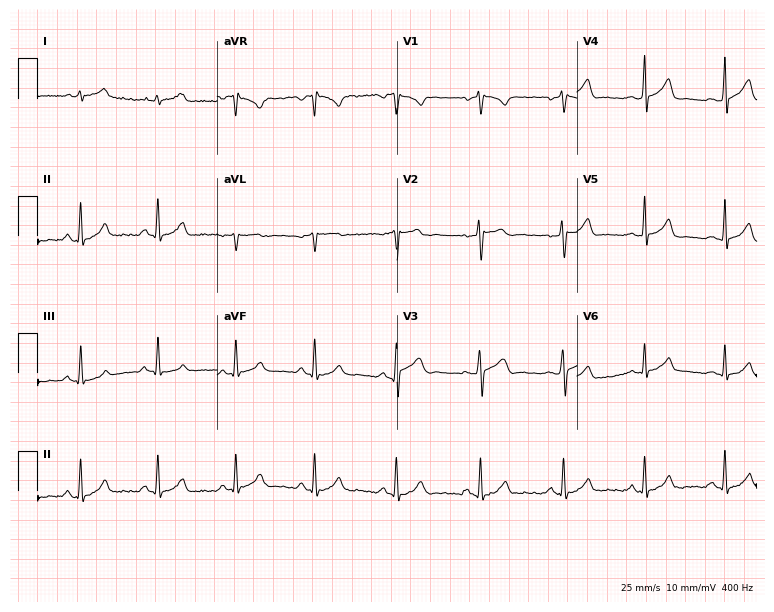
Resting 12-lead electrocardiogram (7.3-second recording at 400 Hz). Patient: a 39-year-old male. None of these six findings is recorded: first-degree AV block, right bundle branch block (RBBB), left bundle branch block (LBBB), sinus bradycardia, atrial fibrillation (AF), sinus tachycardia.